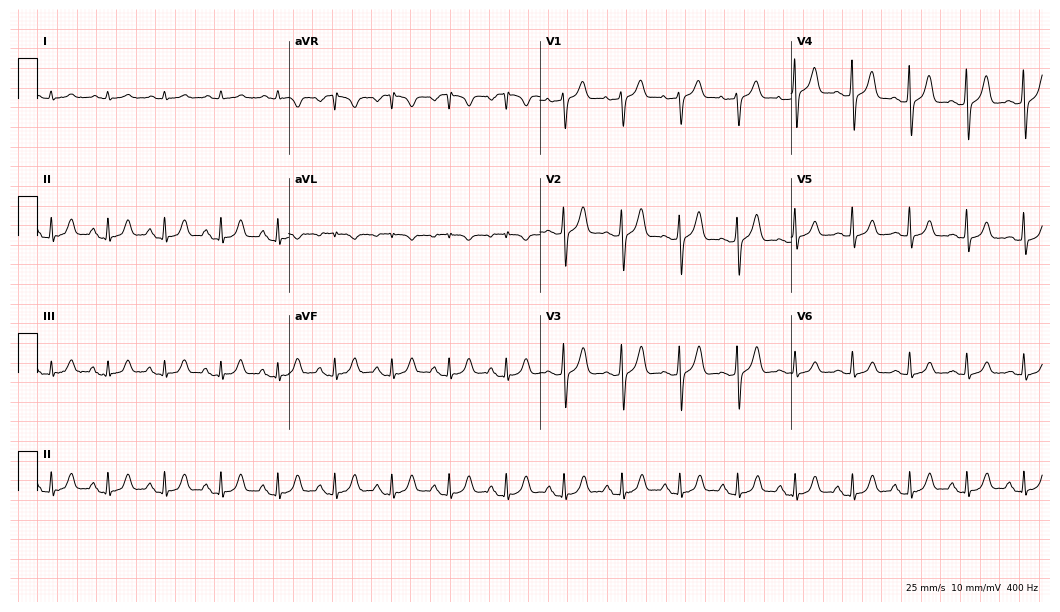
12-lead ECG from an 85-year-old male patient (10.2-second recording at 400 Hz). No first-degree AV block, right bundle branch block, left bundle branch block, sinus bradycardia, atrial fibrillation or sinus tachycardia recorded for this tracing. Findings outside these six are not listed.